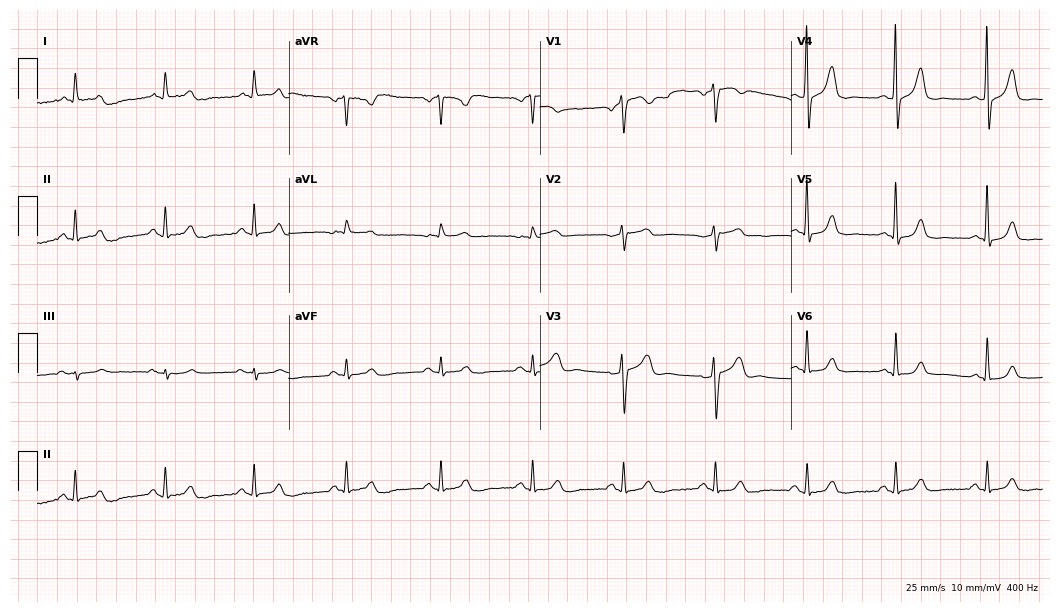
12-lead ECG (10.2-second recording at 400 Hz) from a male, 67 years old. Screened for six findings — first-degree AV block, right bundle branch block, left bundle branch block, sinus bradycardia, atrial fibrillation, sinus tachycardia — none is recorded.